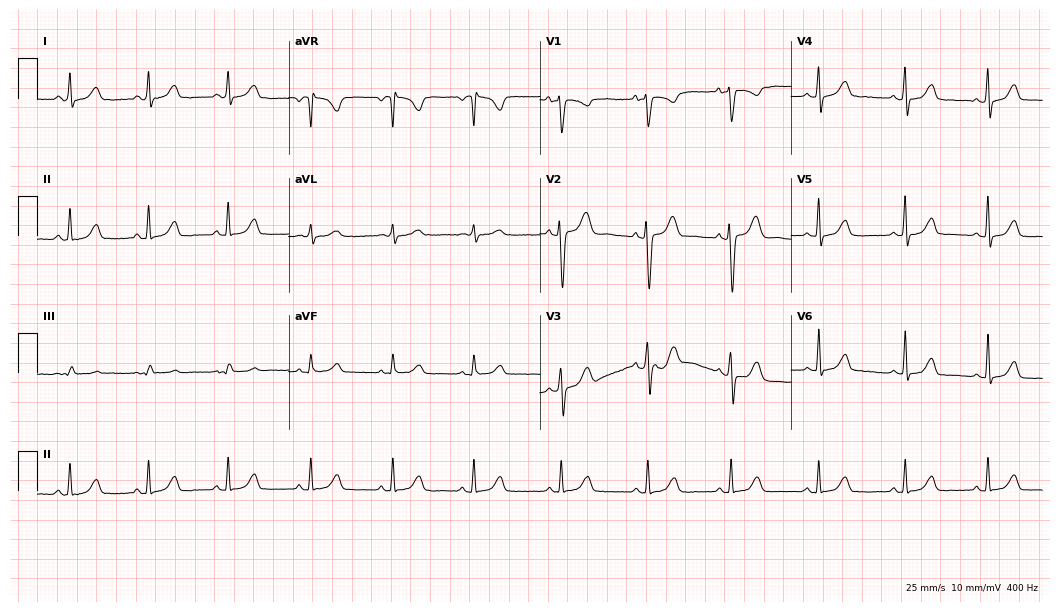
Standard 12-lead ECG recorded from a female, 36 years old. None of these six findings is recorded: first-degree AV block, right bundle branch block, left bundle branch block, sinus bradycardia, atrial fibrillation, sinus tachycardia. Only these six findings were labelled.